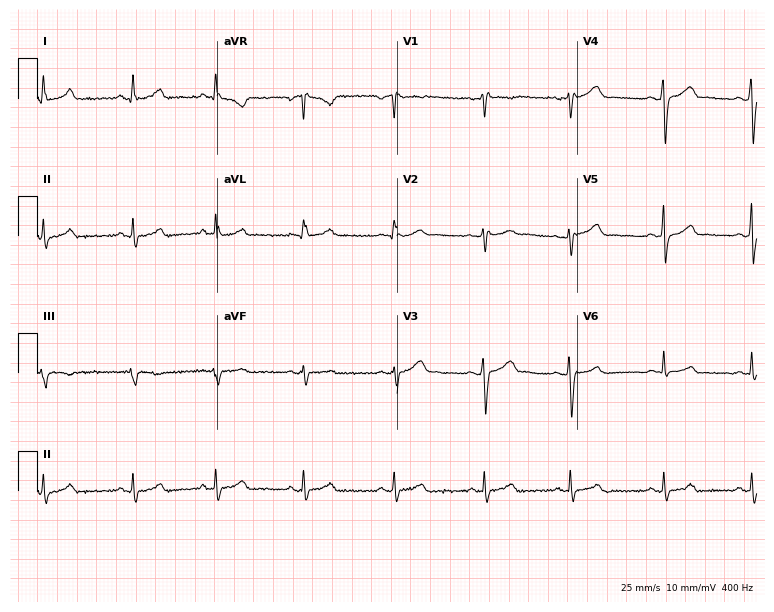
12-lead ECG from a 22-year-old woman. Labelled as a normal ECG.